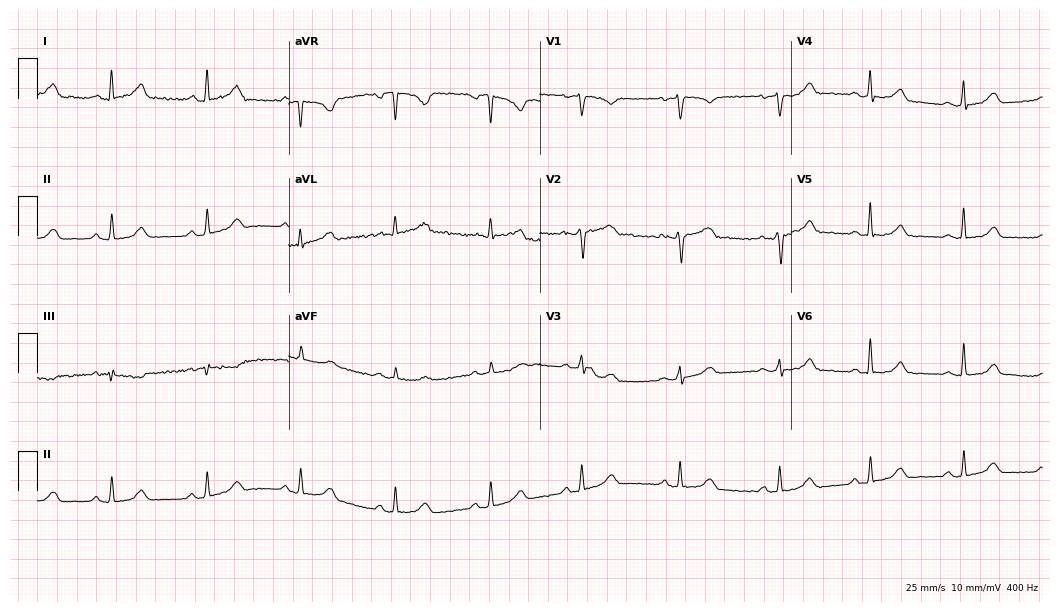
Resting 12-lead electrocardiogram (10.2-second recording at 400 Hz). Patient: a woman, 40 years old. Read as a normal ECG.